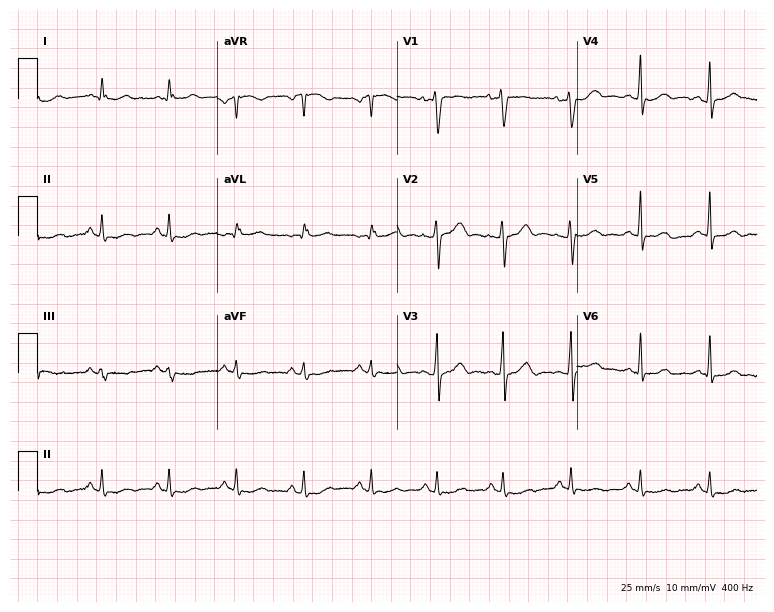
Resting 12-lead electrocardiogram (7.3-second recording at 400 Hz). Patient: a male, 41 years old. Read as a normal ECG.